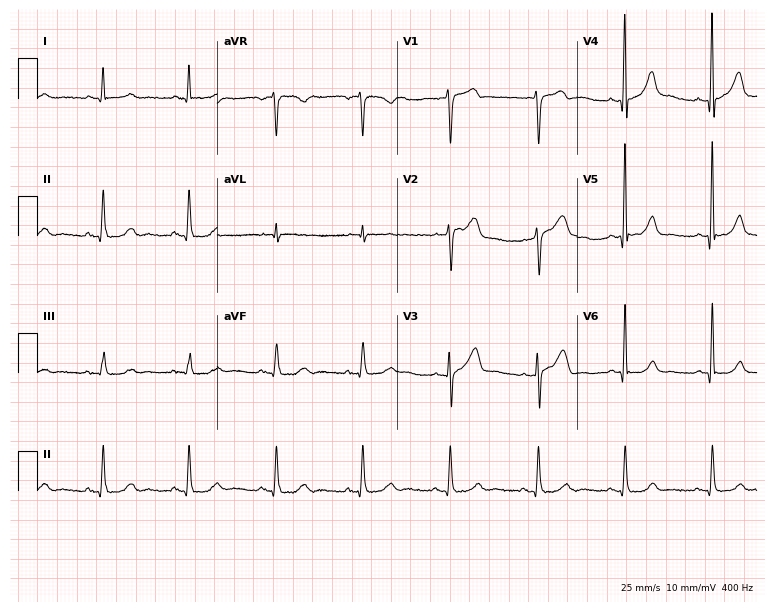
Electrocardiogram (7.3-second recording at 400 Hz), a 75-year-old male. Overall reading on record: normal ECG.